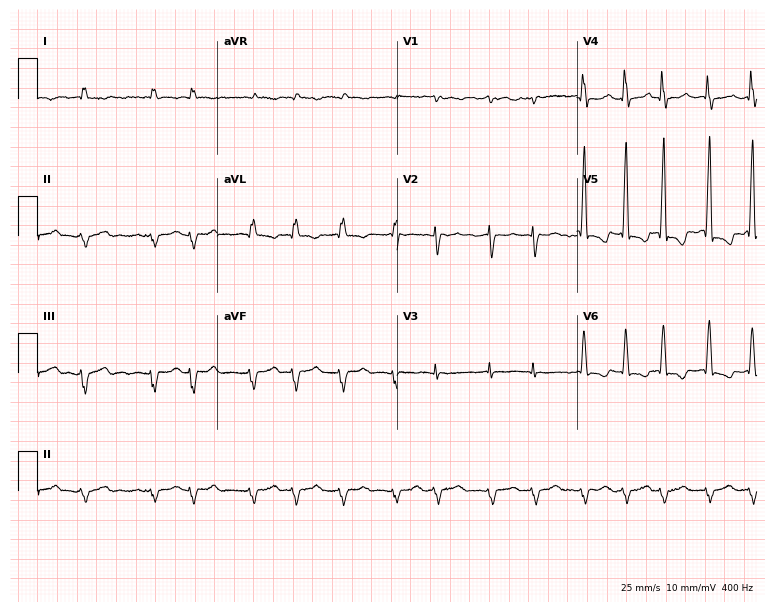
Electrocardiogram (7.3-second recording at 400 Hz), a 75-year-old female. Interpretation includes atrial fibrillation.